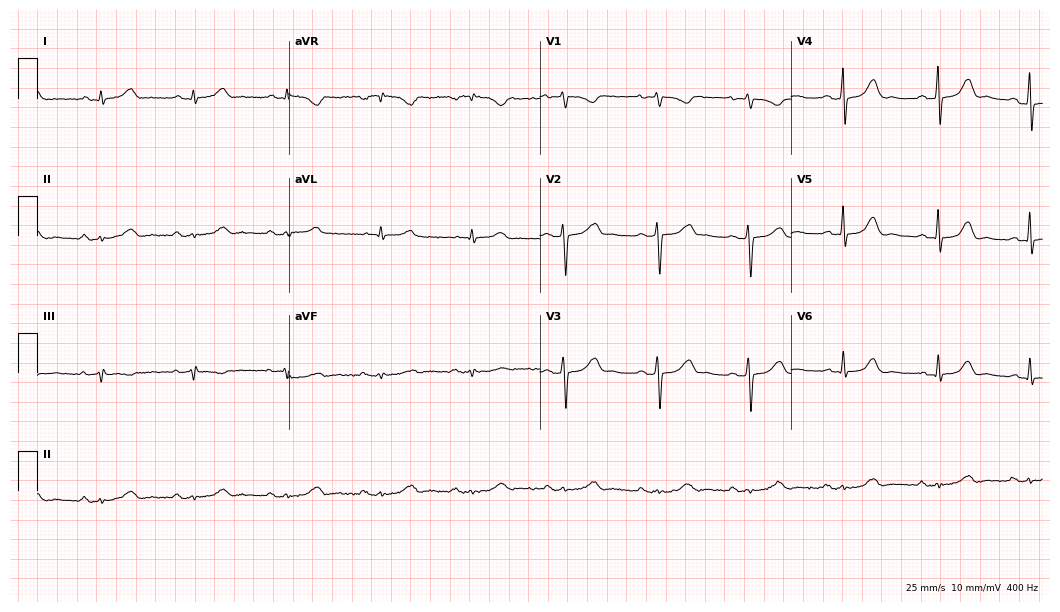
12-lead ECG from a 27-year-old female patient (10.2-second recording at 400 Hz). Recorded interpretation: within normal limits.